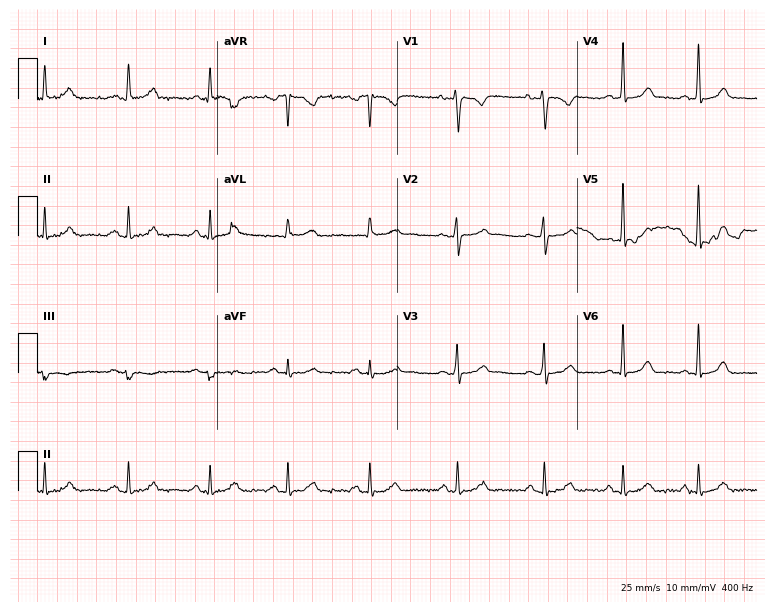
Standard 12-lead ECG recorded from a 28-year-old female (7.3-second recording at 400 Hz). Read as a normal ECG.